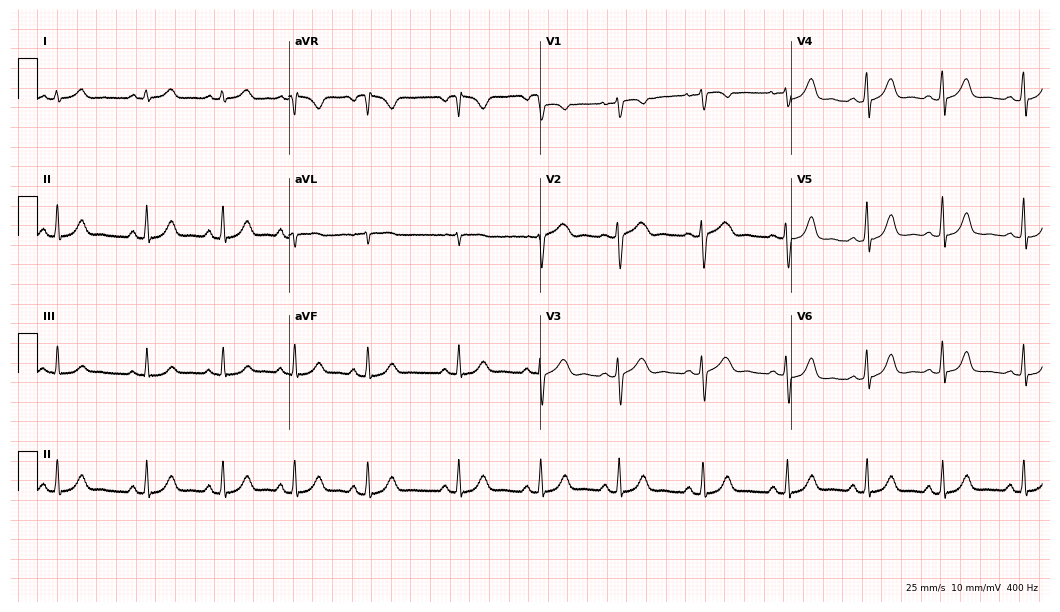
12-lead ECG from a 20-year-old woman (10.2-second recording at 400 Hz). Recorded interpretation: within normal limits.